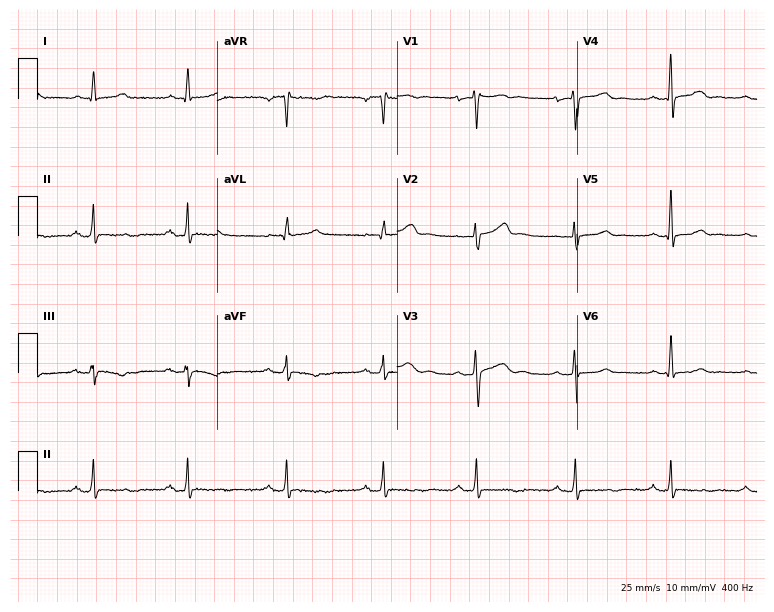
ECG — a male, 68 years old. Screened for six findings — first-degree AV block, right bundle branch block, left bundle branch block, sinus bradycardia, atrial fibrillation, sinus tachycardia — none is recorded.